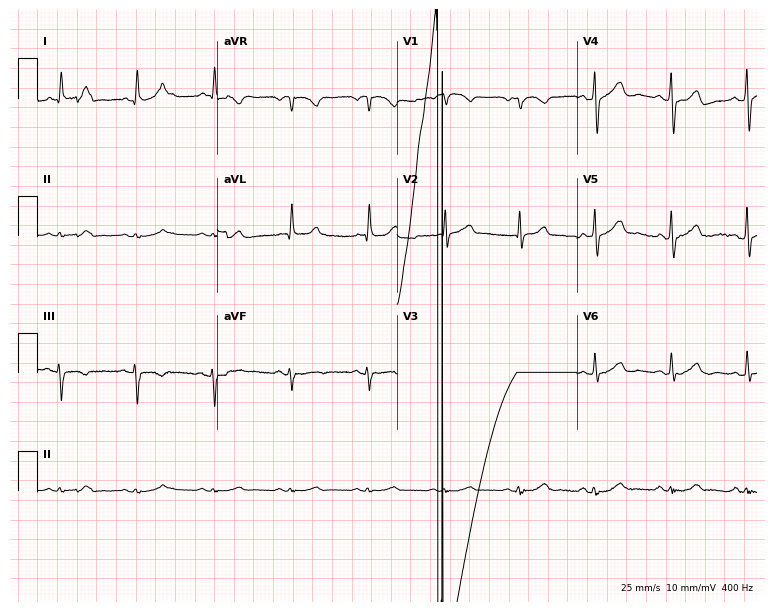
ECG — a 61-year-old male. Screened for six findings — first-degree AV block, right bundle branch block, left bundle branch block, sinus bradycardia, atrial fibrillation, sinus tachycardia — none is recorded. Only these six findings were labelled.